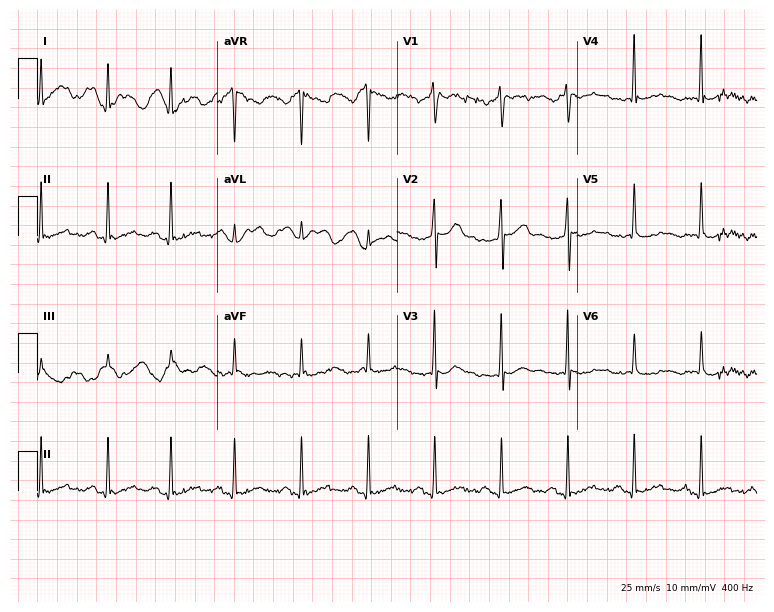
12-lead ECG from a man, 54 years old. Screened for six findings — first-degree AV block, right bundle branch block (RBBB), left bundle branch block (LBBB), sinus bradycardia, atrial fibrillation (AF), sinus tachycardia — none is recorded. Only these six findings were labelled.